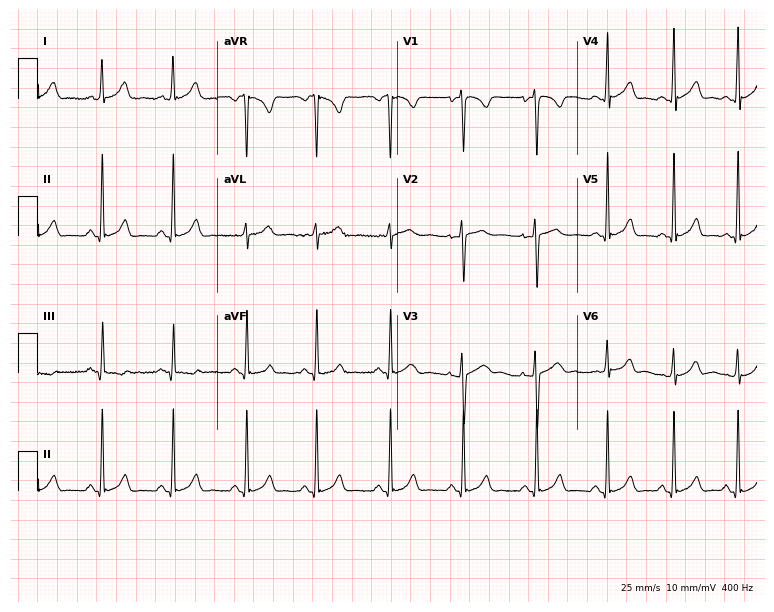
12-lead ECG from a 26-year-old female (7.3-second recording at 400 Hz). Recorded interpretation: within normal limits.